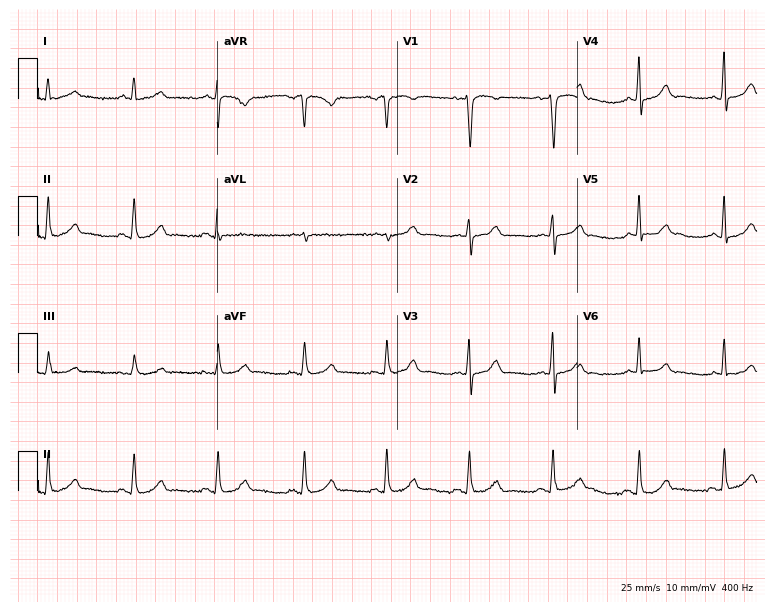
12-lead ECG from a man, 63 years old. Labelled as a normal ECG.